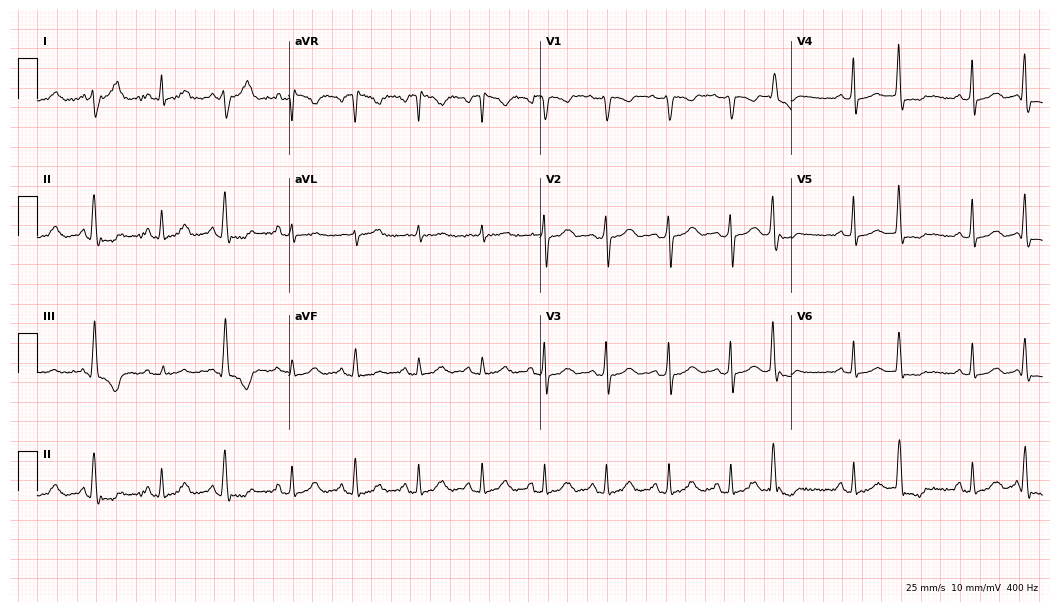
Resting 12-lead electrocardiogram. Patient: a female, 44 years old. None of these six findings is recorded: first-degree AV block, right bundle branch block (RBBB), left bundle branch block (LBBB), sinus bradycardia, atrial fibrillation (AF), sinus tachycardia.